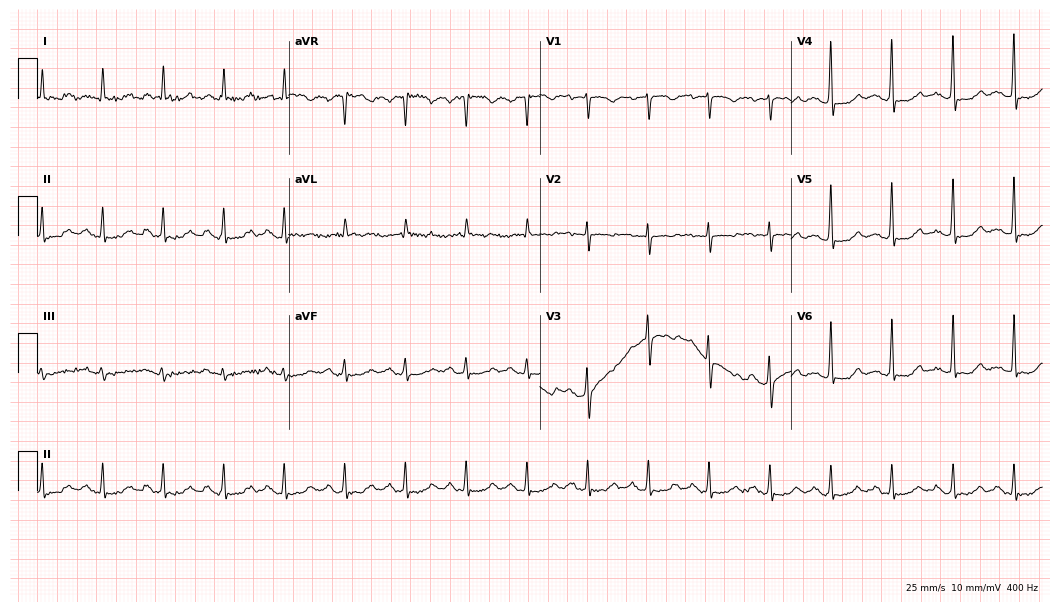
12-lead ECG (10.2-second recording at 400 Hz) from a female, 84 years old. Screened for six findings — first-degree AV block, right bundle branch block, left bundle branch block, sinus bradycardia, atrial fibrillation, sinus tachycardia — none is recorded. Findings outside these six are not listed.